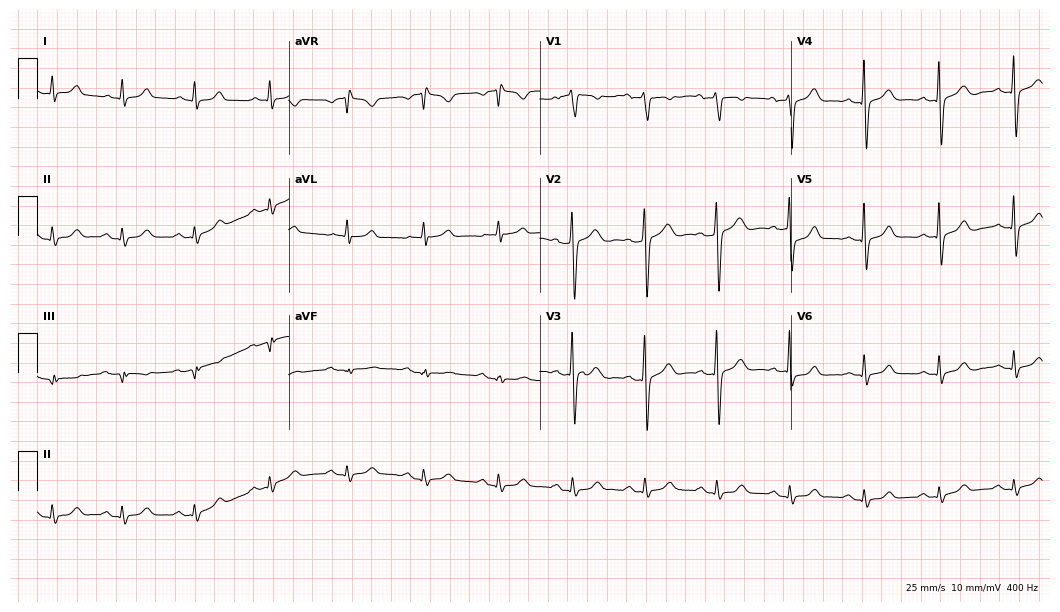
Electrocardiogram (10.2-second recording at 400 Hz), a 59-year-old male patient. Overall reading on record: normal ECG.